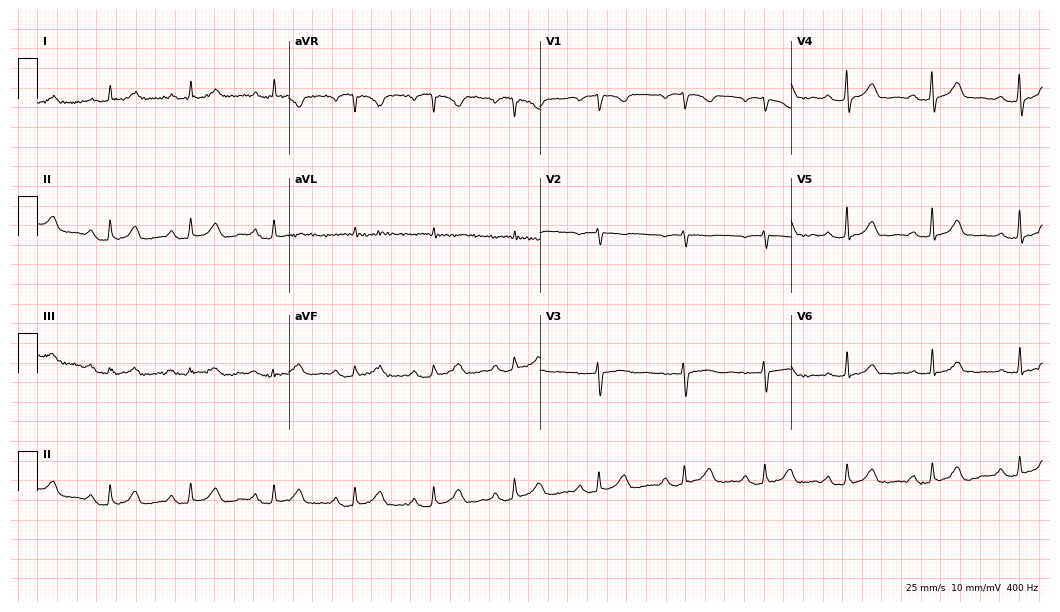
Electrocardiogram (10.2-second recording at 400 Hz), a 77-year-old female. Interpretation includes first-degree AV block.